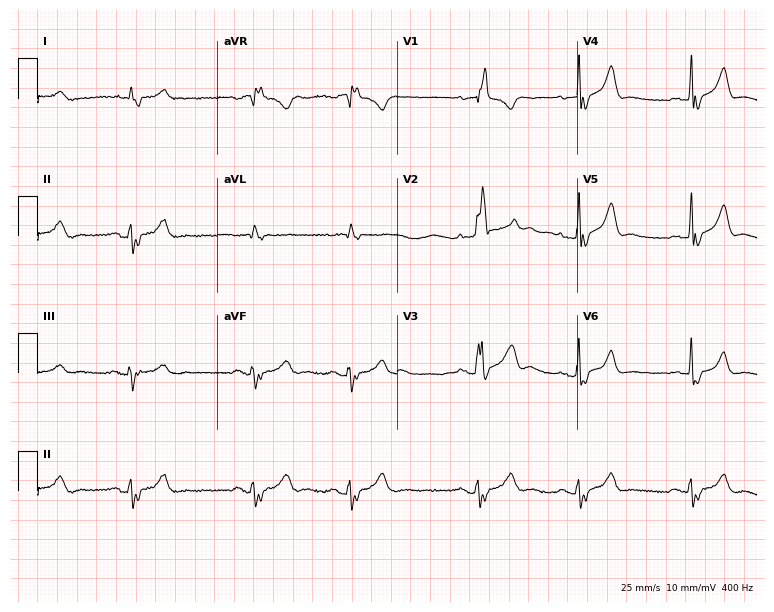
12-lead ECG (7.3-second recording at 400 Hz) from a male, 60 years old. Findings include right bundle branch block.